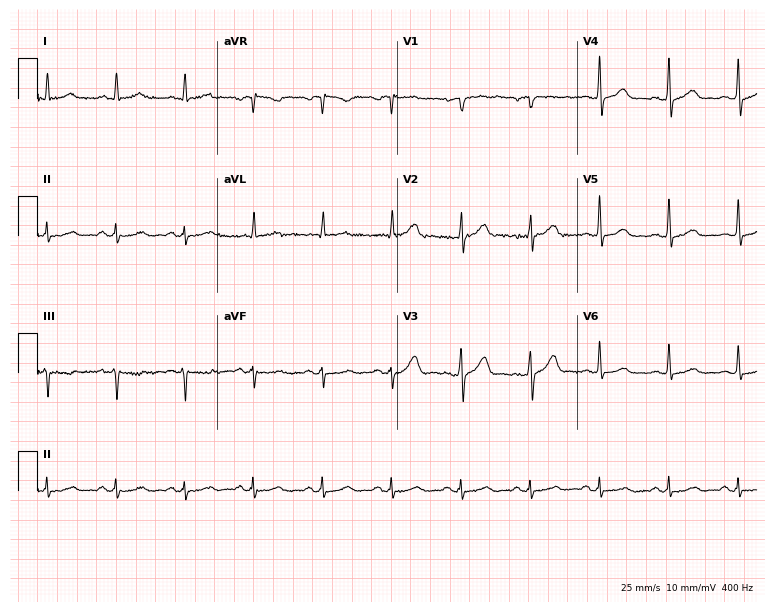
ECG — a male, 60 years old. Screened for six findings — first-degree AV block, right bundle branch block, left bundle branch block, sinus bradycardia, atrial fibrillation, sinus tachycardia — none is recorded.